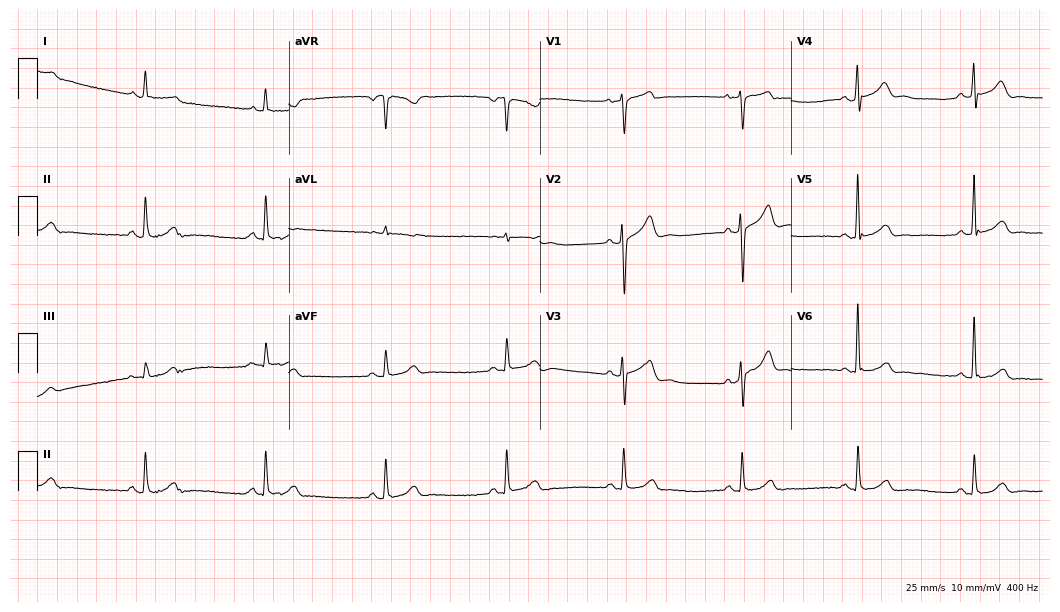
Electrocardiogram, a 67-year-old male. Overall reading on record: normal ECG.